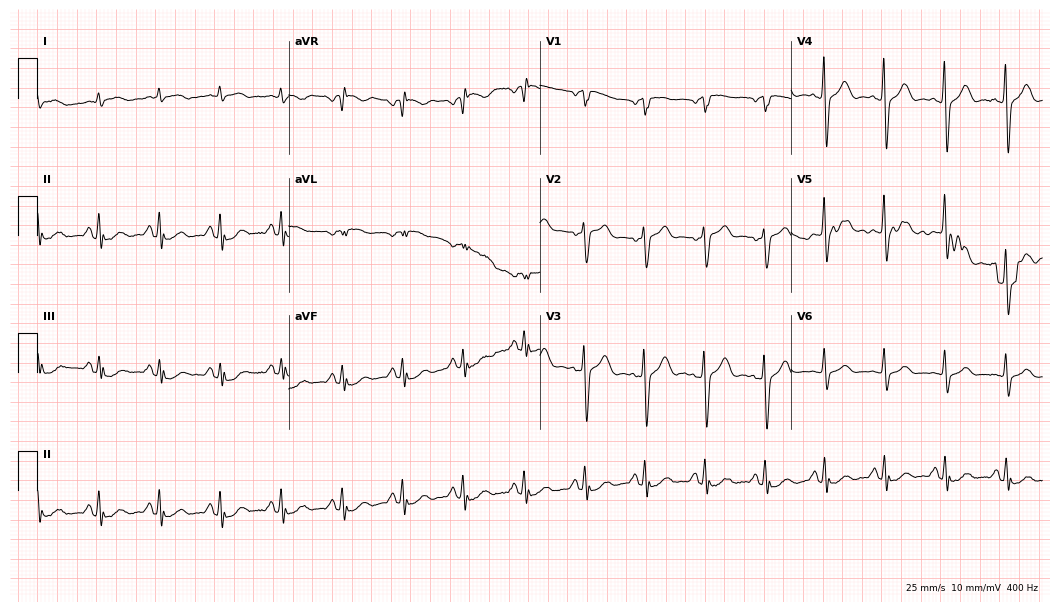
Resting 12-lead electrocardiogram (10.2-second recording at 400 Hz). Patient: a male, 71 years old. None of these six findings is recorded: first-degree AV block, right bundle branch block, left bundle branch block, sinus bradycardia, atrial fibrillation, sinus tachycardia. Only these six findings were labelled.